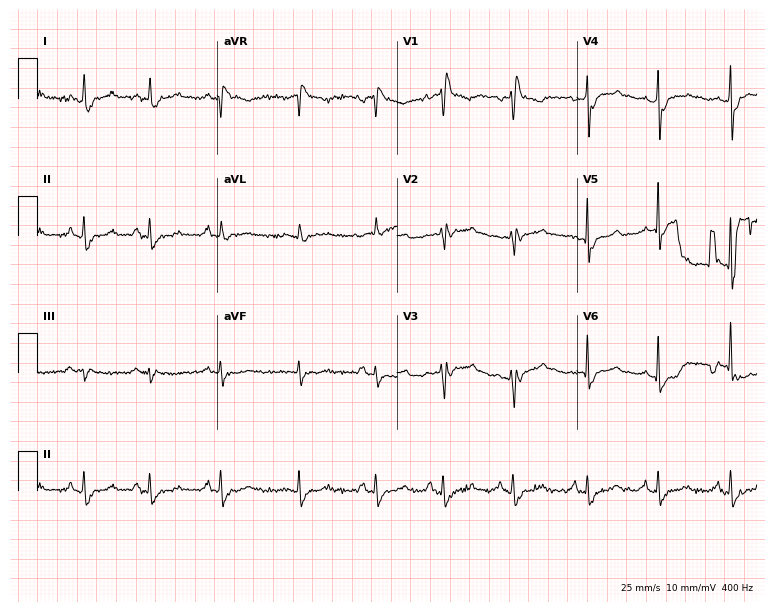
ECG — a female, 47 years old. Screened for six findings — first-degree AV block, right bundle branch block (RBBB), left bundle branch block (LBBB), sinus bradycardia, atrial fibrillation (AF), sinus tachycardia — none is recorded.